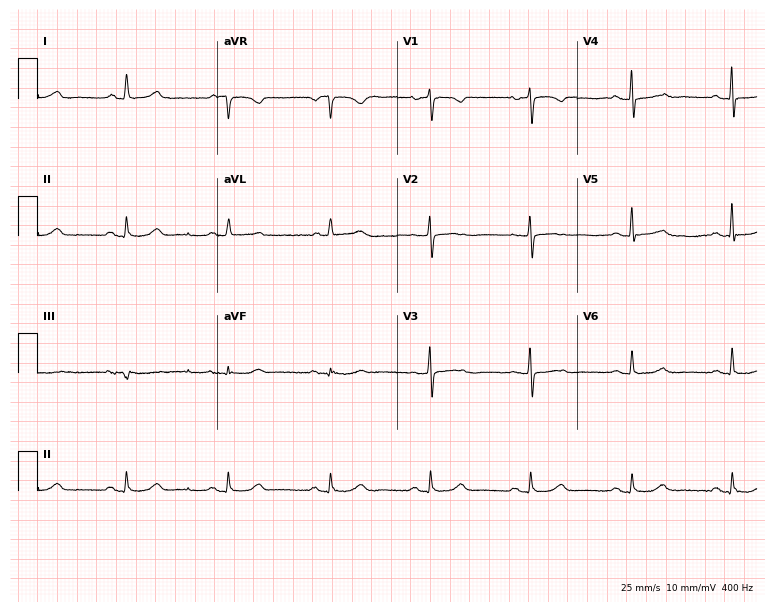
Resting 12-lead electrocardiogram (7.3-second recording at 400 Hz). Patient: a 77-year-old female. None of these six findings is recorded: first-degree AV block, right bundle branch block, left bundle branch block, sinus bradycardia, atrial fibrillation, sinus tachycardia. Findings outside these six are not listed.